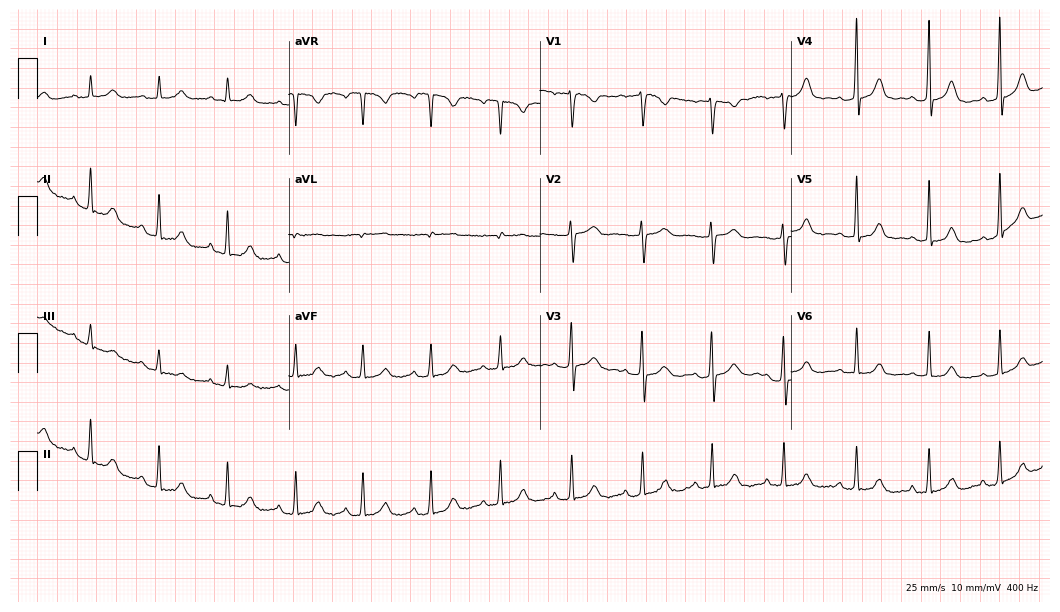
Resting 12-lead electrocardiogram (10.2-second recording at 400 Hz). Patient: a female, 33 years old. Read as a normal ECG.